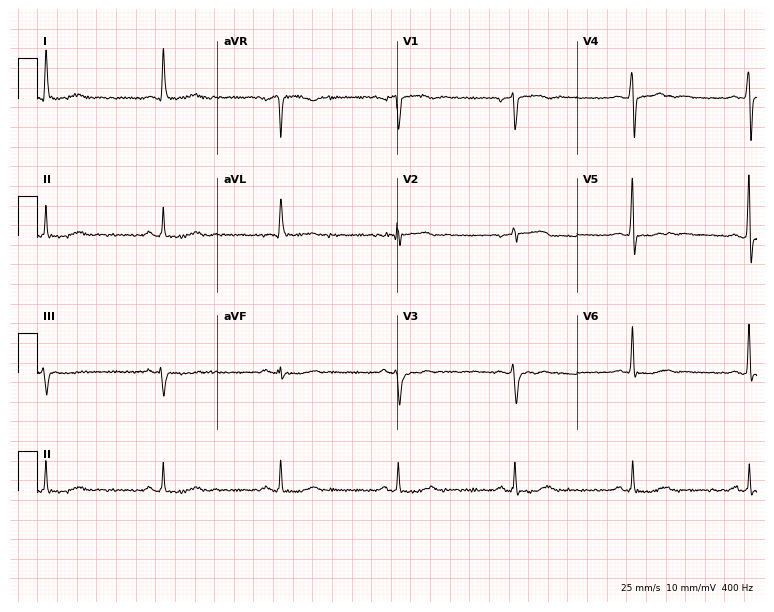
Electrocardiogram (7.3-second recording at 400 Hz), a male, 60 years old. Interpretation includes sinus bradycardia (a sinus rate of 50 beats per minute or less).